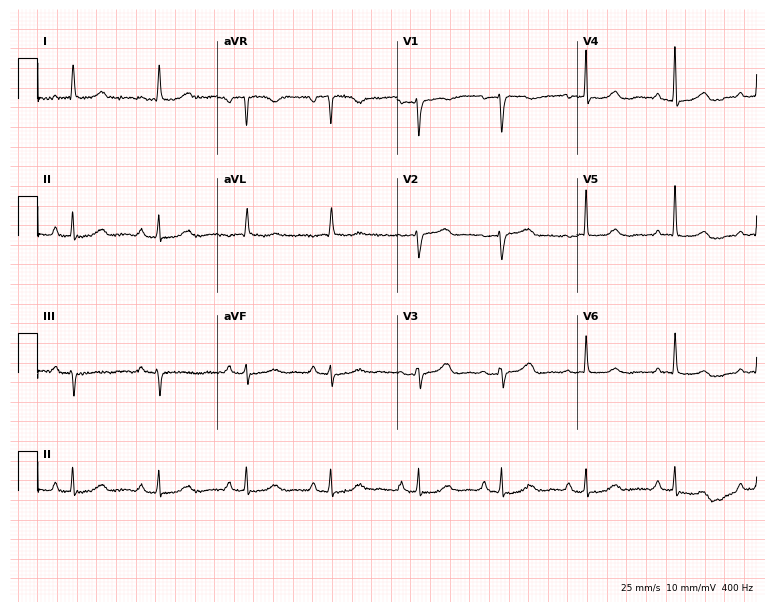
12-lead ECG from a 65-year-old female patient (7.3-second recording at 400 Hz). No first-degree AV block, right bundle branch block, left bundle branch block, sinus bradycardia, atrial fibrillation or sinus tachycardia recorded for this tracing. Other findings, if any, are not listed.